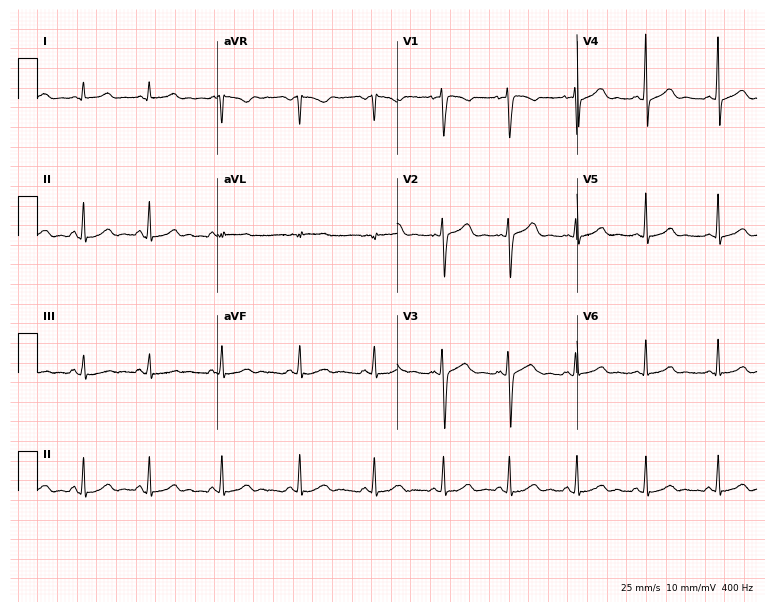
Electrocardiogram (7.3-second recording at 400 Hz), a female, 18 years old. Overall reading on record: normal ECG.